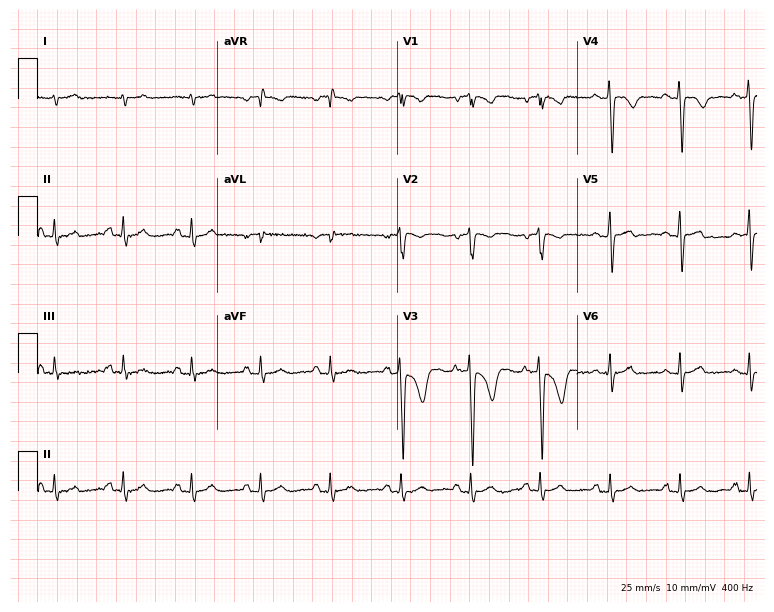
ECG — a male patient, 78 years old. Screened for six findings — first-degree AV block, right bundle branch block, left bundle branch block, sinus bradycardia, atrial fibrillation, sinus tachycardia — none is recorded.